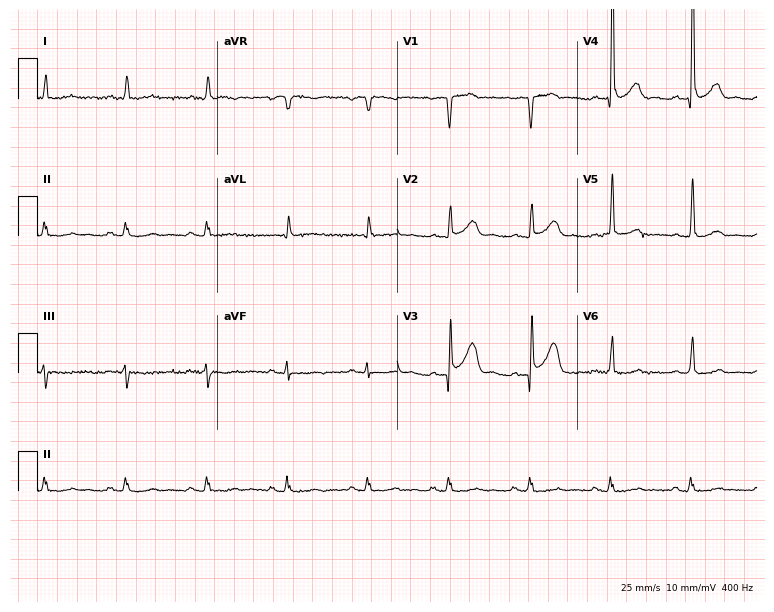
12-lead ECG from a male patient, 78 years old. Screened for six findings — first-degree AV block, right bundle branch block, left bundle branch block, sinus bradycardia, atrial fibrillation, sinus tachycardia — none is recorded. Other findings, if any, are not listed.